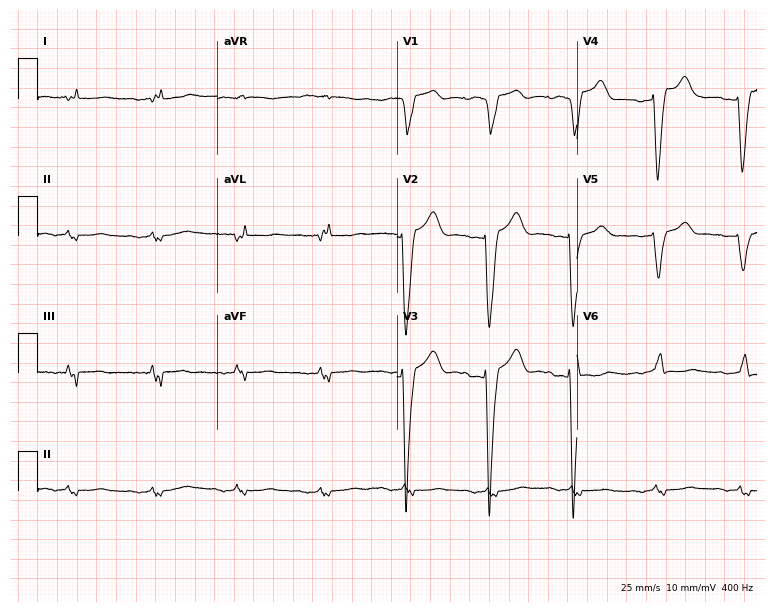
Resting 12-lead electrocardiogram. Patient: an 85-year-old woman. None of these six findings is recorded: first-degree AV block, right bundle branch block, left bundle branch block, sinus bradycardia, atrial fibrillation, sinus tachycardia.